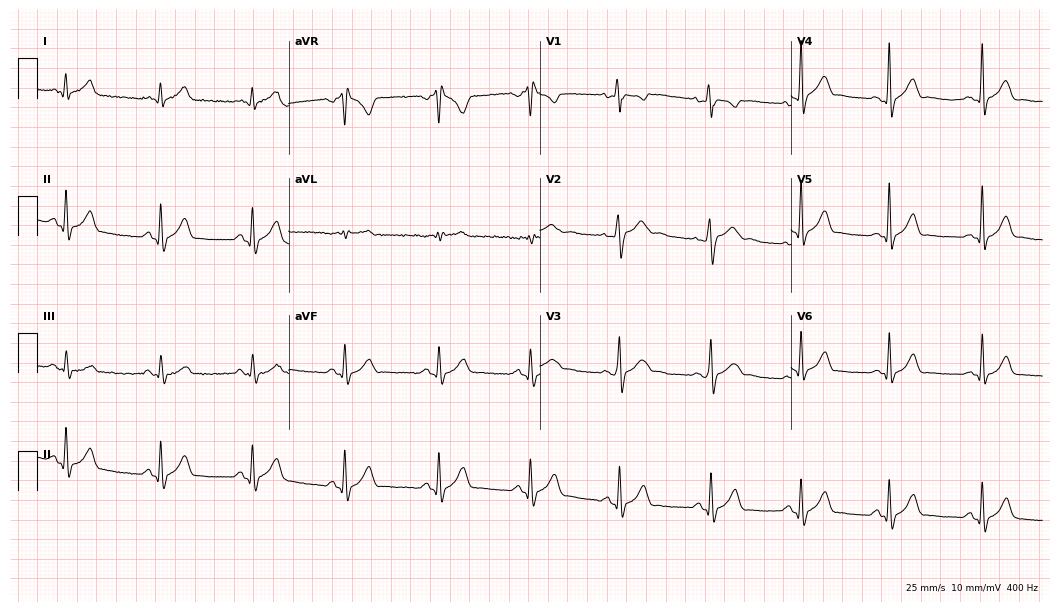
ECG (10.2-second recording at 400 Hz) — a 24-year-old male. Screened for six findings — first-degree AV block, right bundle branch block (RBBB), left bundle branch block (LBBB), sinus bradycardia, atrial fibrillation (AF), sinus tachycardia — none is recorded.